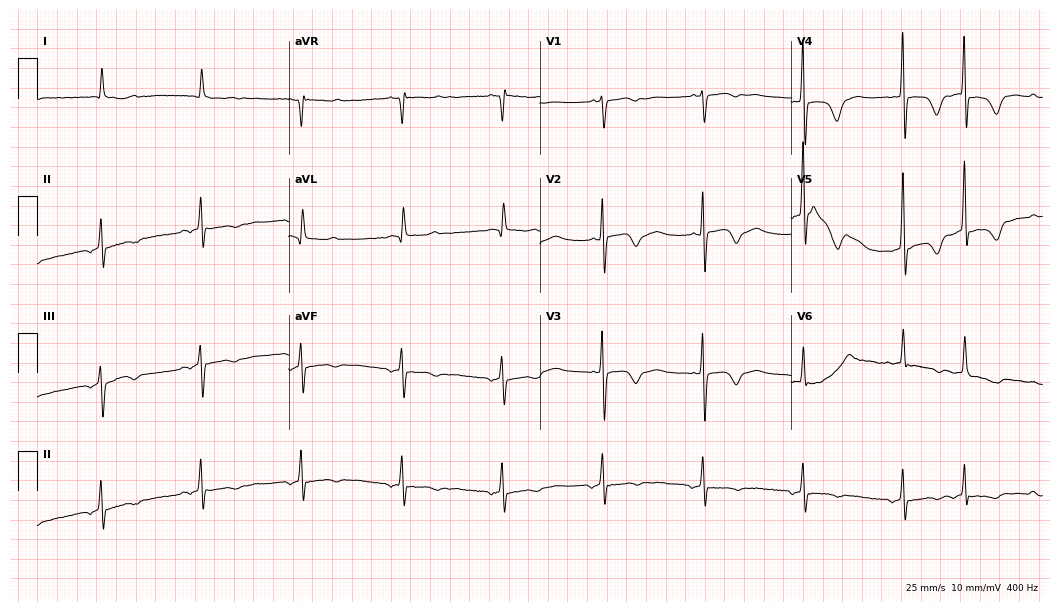
Electrocardiogram, a woman, 77 years old. Of the six screened findings (first-degree AV block, right bundle branch block, left bundle branch block, sinus bradycardia, atrial fibrillation, sinus tachycardia), none is recorded.